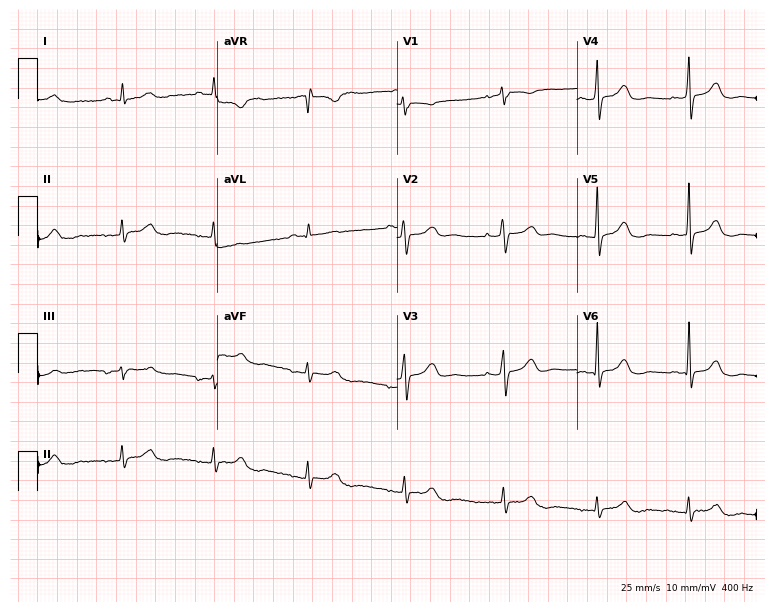
ECG — a male patient, 46 years old. Screened for six findings — first-degree AV block, right bundle branch block (RBBB), left bundle branch block (LBBB), sinus bradycardia, atrial fibrillation (AF), sinus tachycardia — none is recorded. Other findings, if any, are not listed.